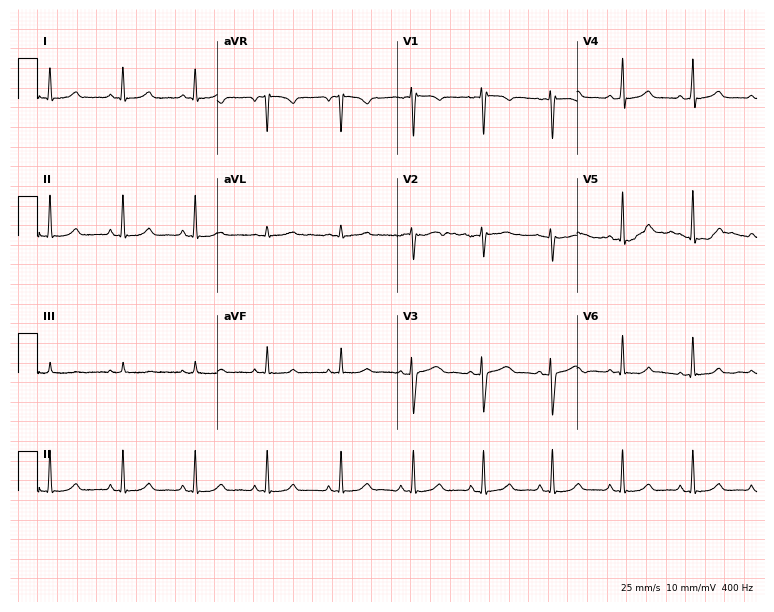
Electrocardiogram, a woman, 27 years old. Of the six screened findings (first-degree AV block, right bundle branch block, left bundle branch block, sinus bradycardia, atrial fibrillation, sinus tachycardia), none is recorded.